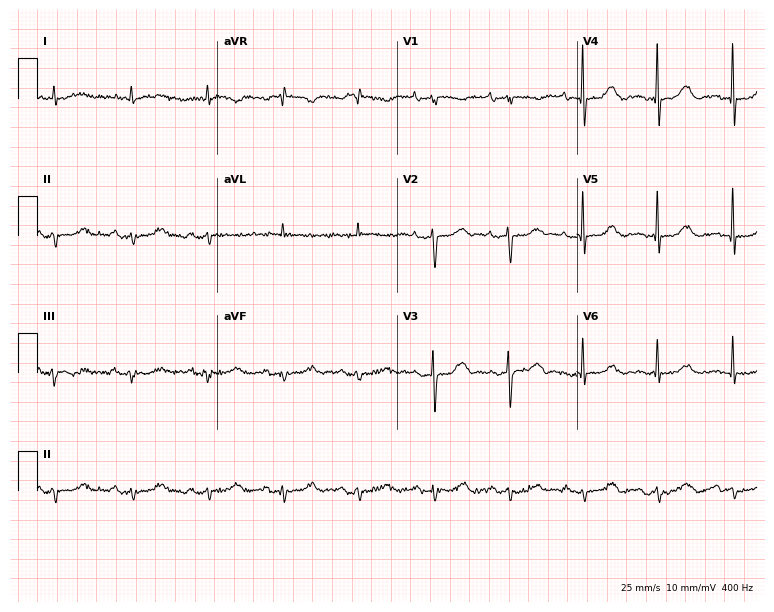
12-lead ECG from an 87-year-old female patient. Screened for six findings — first-degree AV block, right bundle branch block, left bundle branch block, sinus bradycardia, atrial fibrillation, sinus tachycardia — none is recorded.